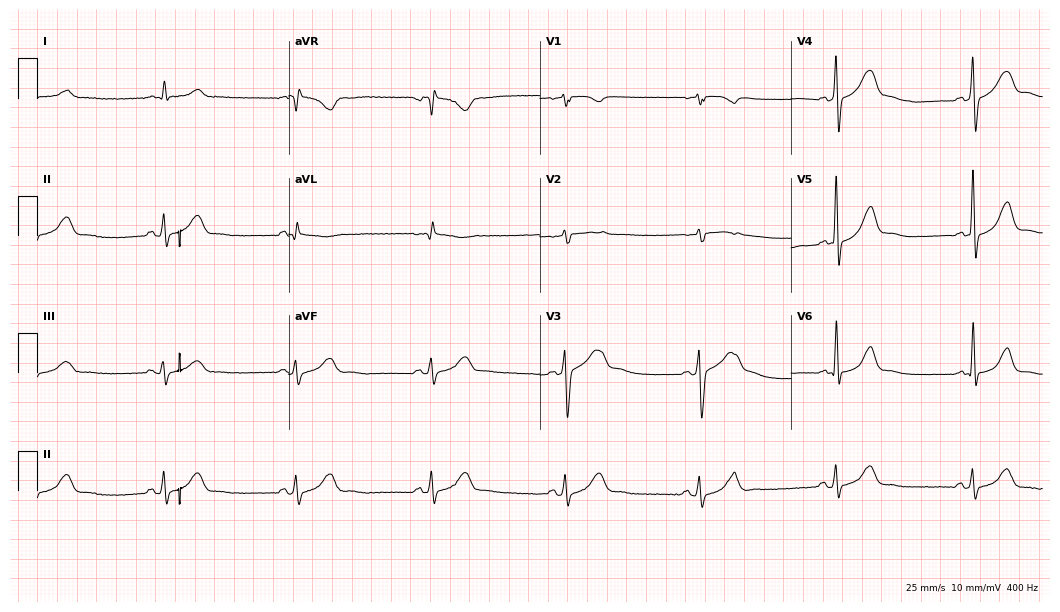
12-lead ECG from a 64-year-old man. Findings include sinus bradycardia (a sinus rate of 50 beats per minute or less).